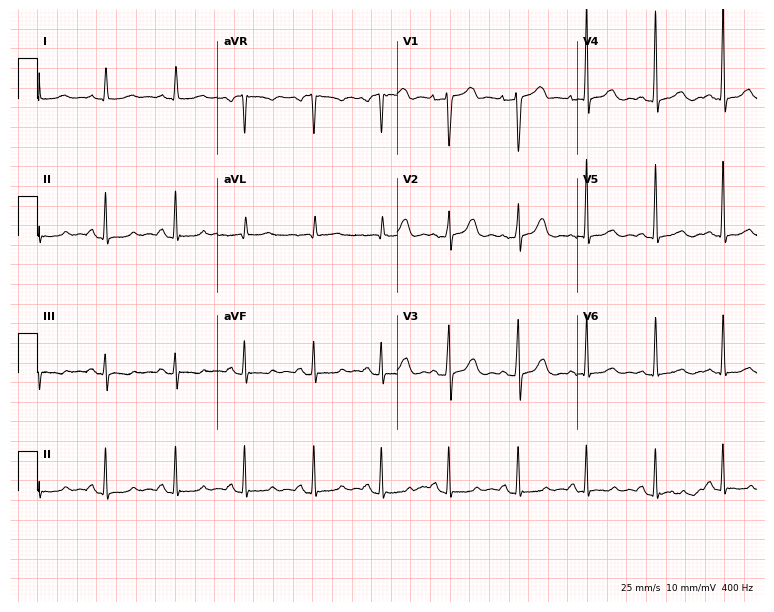
12-lead ECG from a female patient, 83 years old. Screened for six findings — first-degree AV block, right bundle branch block (RBBB), left bundle branch block (LBBB), sinus bradycardia, atrial fibrillation (AF), sinus tachycardia — none is recorded. Other findings, if any, are not listed.